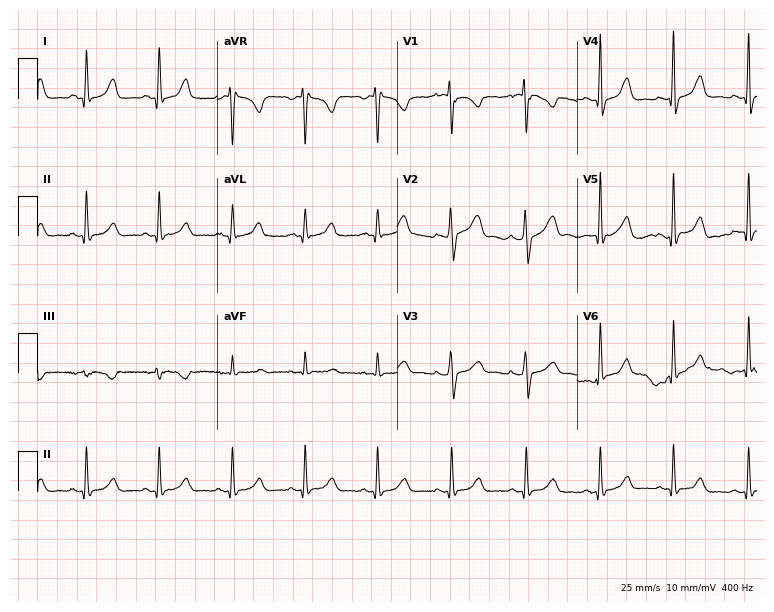
Resting 12-lead electrocardiogram (7.3-second recording at 400 Hz). Patient: a 54-year-old female. Read as a normal ECG.